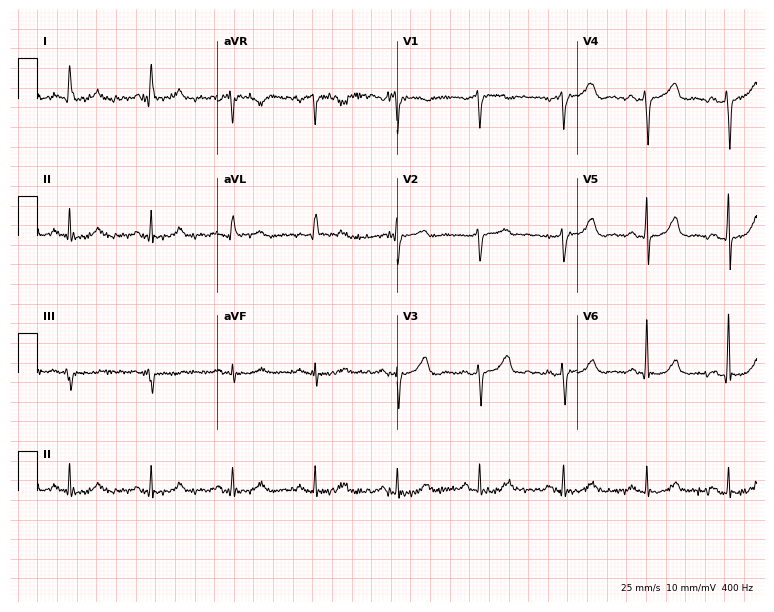
Resting 12-lead electrocardiogram (7.3-second recording at 400 Hz). Patient: a woman, 62 years old. Read as a normal ECG.